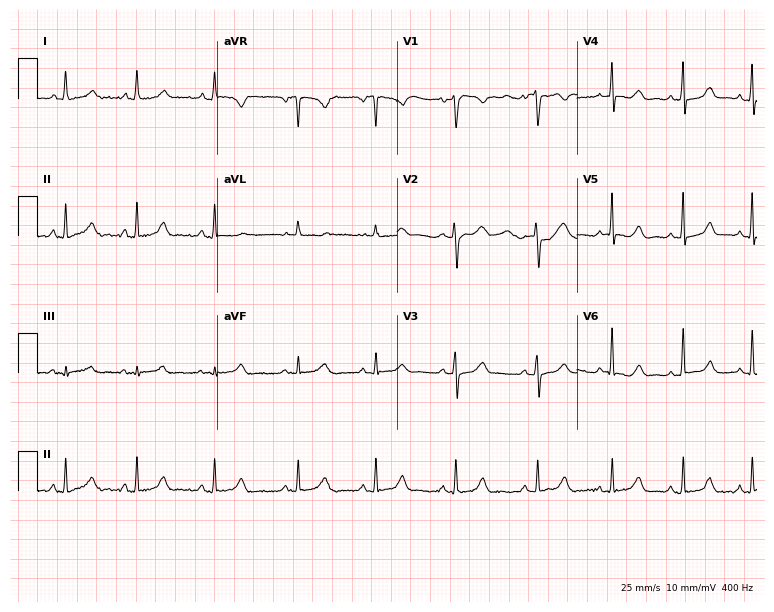
ECG (7.3-second recording at 400 Hz) — a 28-year-old female patient. Labelled as a normal ECG.